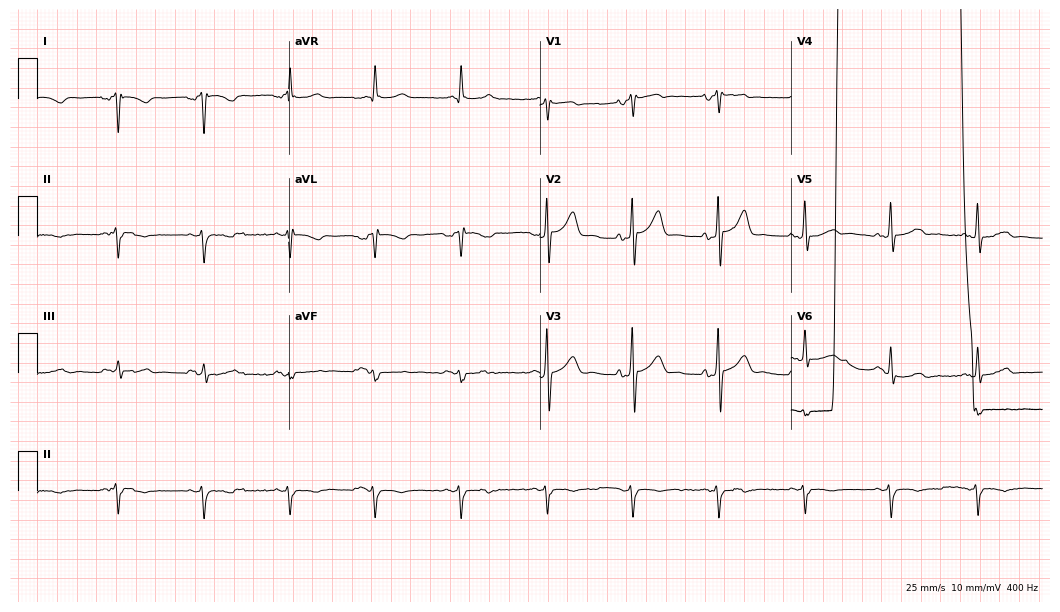
Resting 12-lead electrocardiogram (10.2-second recording at 400 Hz). Patient: a 64-year-old man. None of these six findings is recorded: first-degree AV block, right bundle branch block, left bundle branch block, sinus bradycardia, atrial fibrillation, sinus tachycardia.